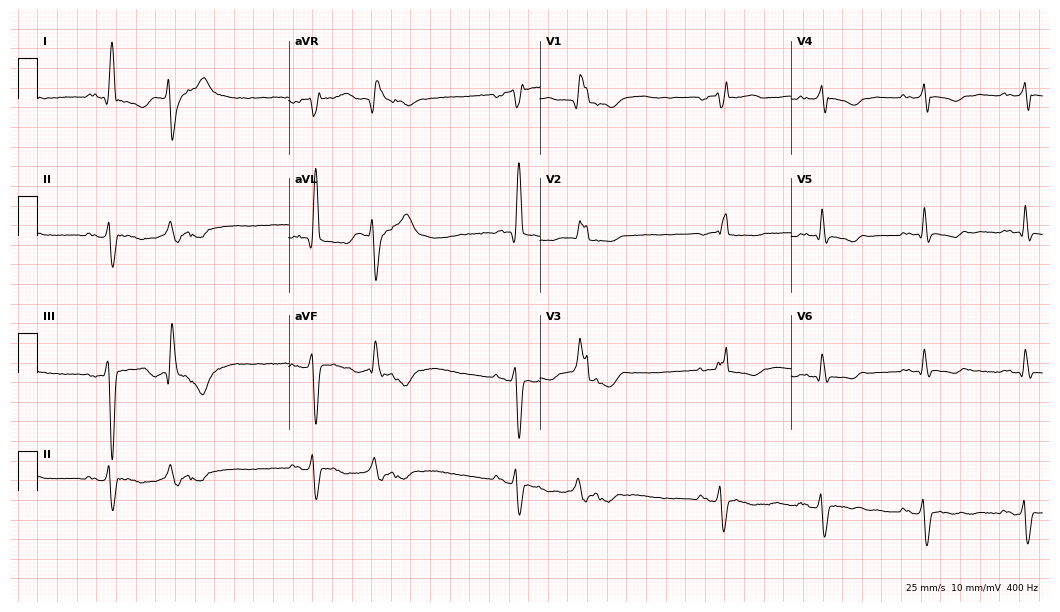
Electrocardiogram (10.2-second recording at 400 Hz), a 71-year-old female patient. Interpretation includes right bundle branch block.